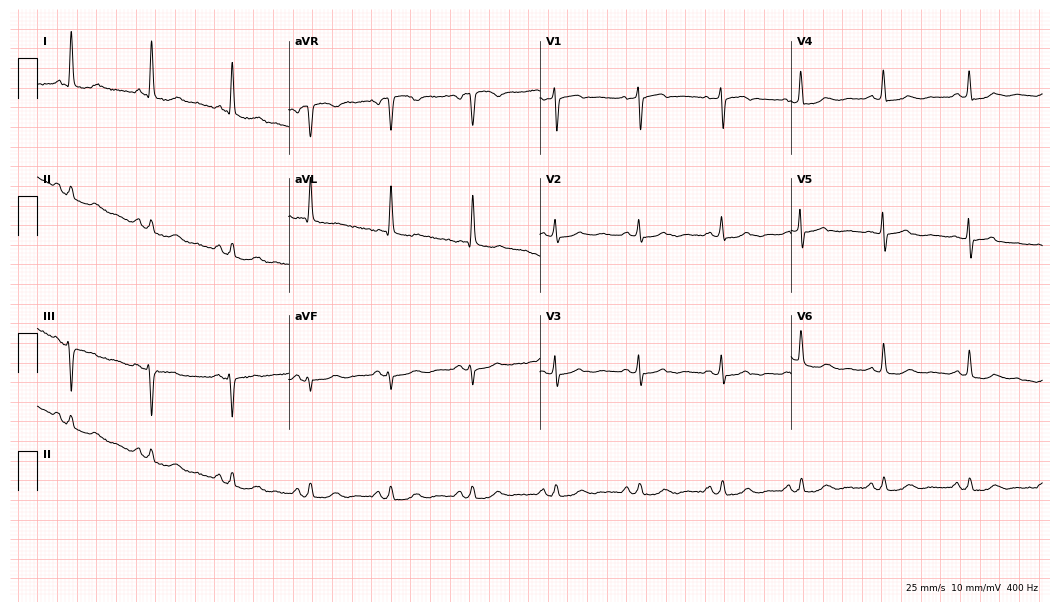
12-lead ECG from a female patient, 78 years old. Recorded interpretation: within normal limits.